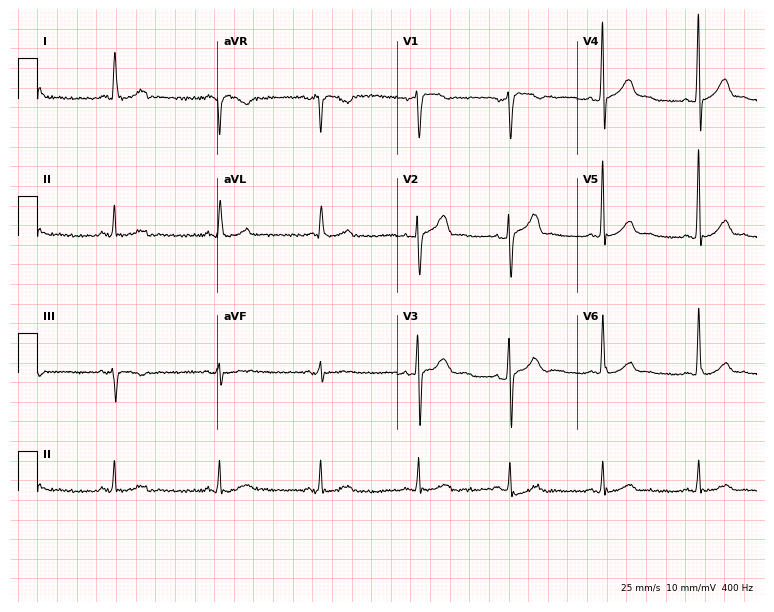
Electrocardiogram (7.3-second recording at 400 Hz), a male, 56 years old. Of the six screened findings (first-degree AV block, right bundle branch block (RBBB), left bundle branch block (LBBB), sinus bradycardia, atrial fibrillation (AF), sinus tachycardia), none is recorded. Findings outside these six are not listed.